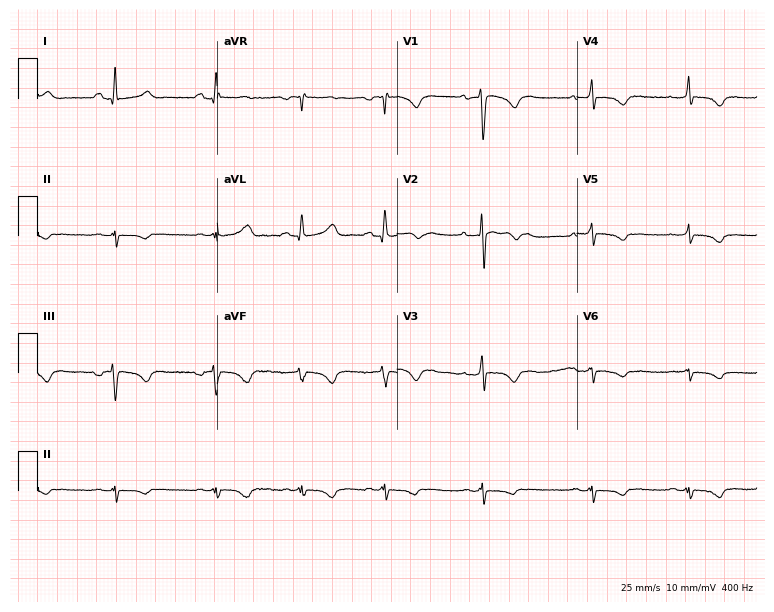
ECG — a female, 26 years old. Screened for six findings — first-degree AV block, right bundle branch block, left bundle branch block, sinus bradycardia, atrial fibrillation, sinus tachycardia — none is recorded.